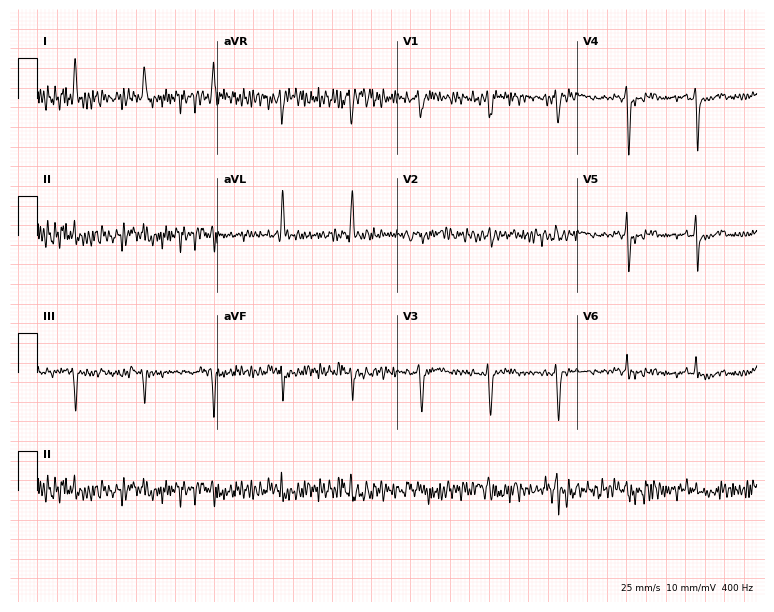
Standard 12-lead ECG recorded from a 65-year-old female. None of these six findings is recorded: first-degree AV block, right bundle branch block, left bundle branch block, sinus bradycardia, atrial fibrillation, sinus tachycardia. Findings outside these six are not listed.